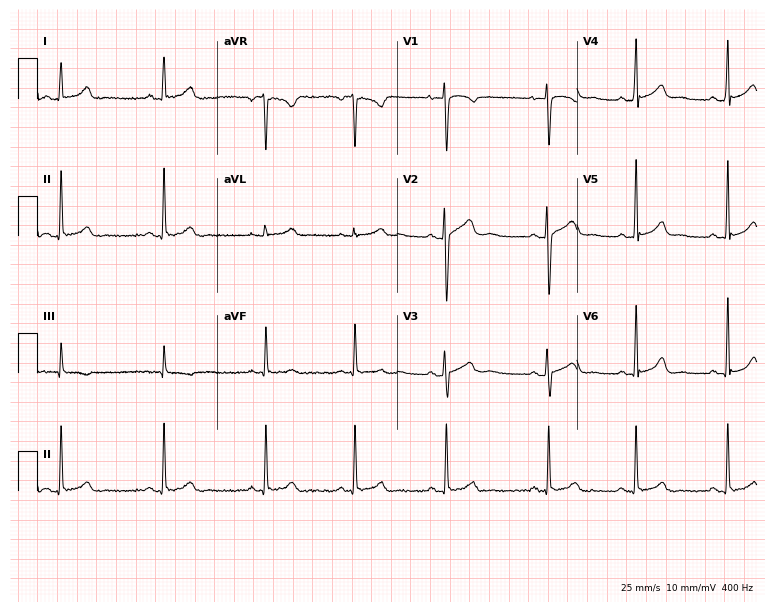
Resting 12-lead electrocardiogram. Patient: a 17-year-old female. None of these six findings is recorded: first-degree AV block, right bundle branch block, left bundle branch block, sinus bradycardia, atrial fibrillation, sinus tachycardia. Findings outside these six are not listed.